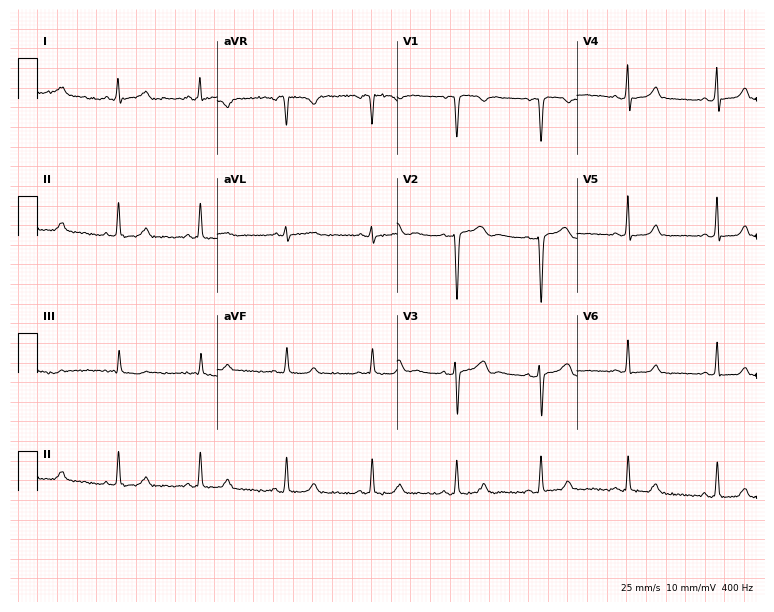
12-lead ECG from a 26-year-old female (7.3-second recording at 400 Hz). No first-degree AV block, right bundle branch block, left bundle branch block, sinus bradycardia, atrial fibrillation or sinus tachycardia recorded for this tracing. Only these six findings were labelled.